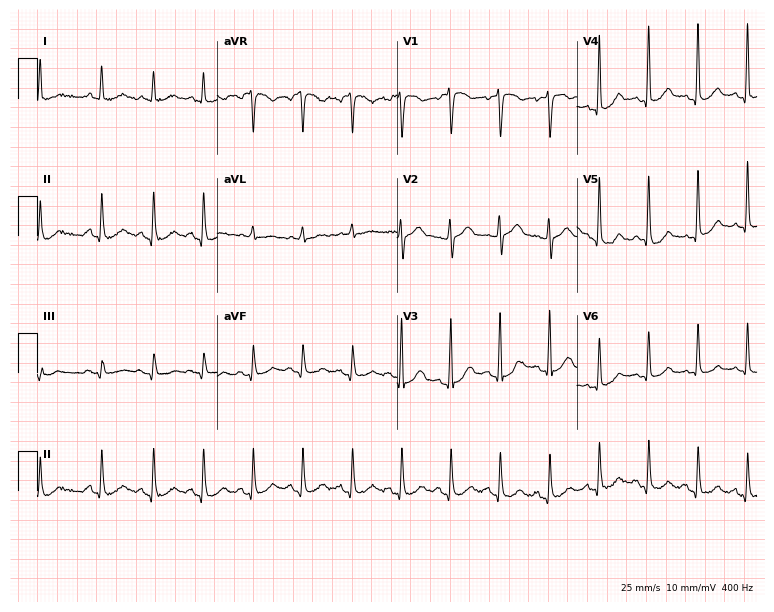
12-lead ECG from a 76-year-old man (7.3-second recording at 400 Hz). Shows sinus tachycardia (a sinus rate of 100 beats per minute or more).